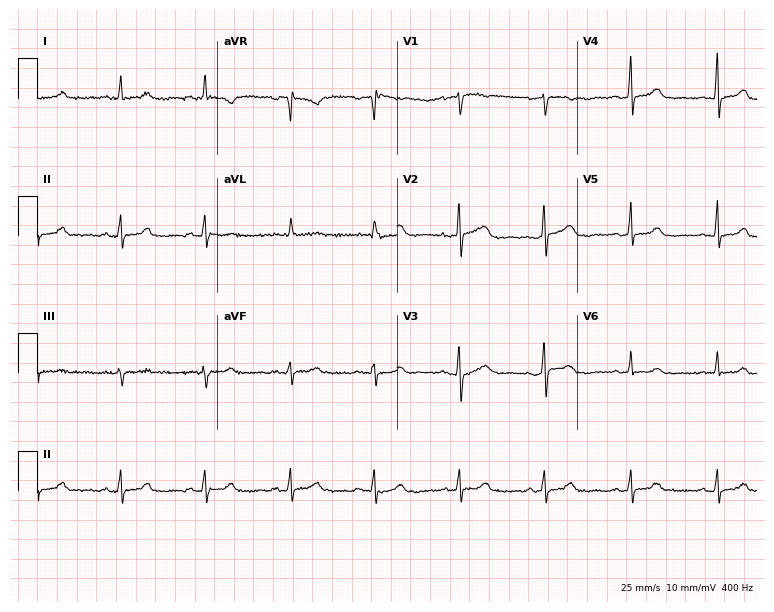
Resting 12-lead electrocardiogram. Patient: a woman, 62 years old. Read as a normal ECG.